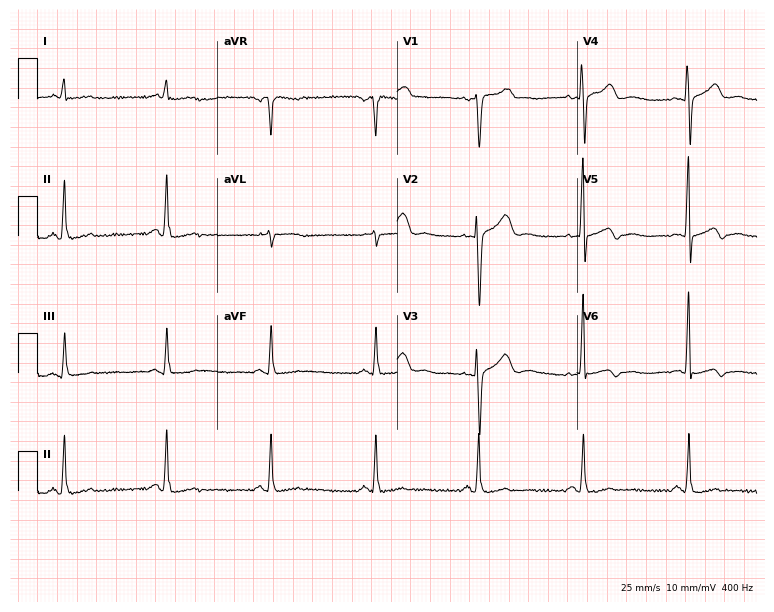
12-lead ECG from a 78-year-old female patient. Screened for six findings — first-degree AV block, right bundle branch block, left bundle branch block, sinus bradycardia, atrial fibrillation, sinus tachycardia — none is recorded.